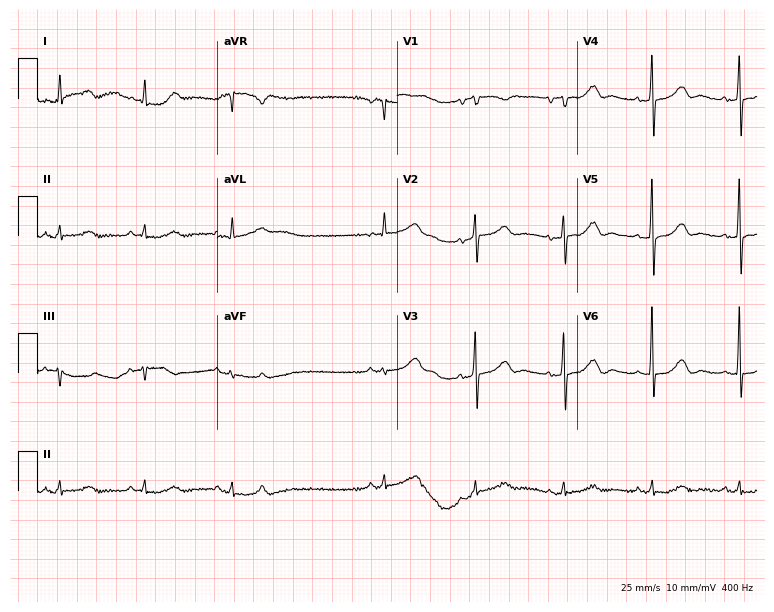
Electrocardiogram (7.3-second recording at 400 Hz), an 81-year-old female patient. Of the six screened findings (first-degree AV block, right bundle branch block, left bundle branch block, sinus bradycardia, atrial fibrillation, sinus tachycardia), none is recorded.